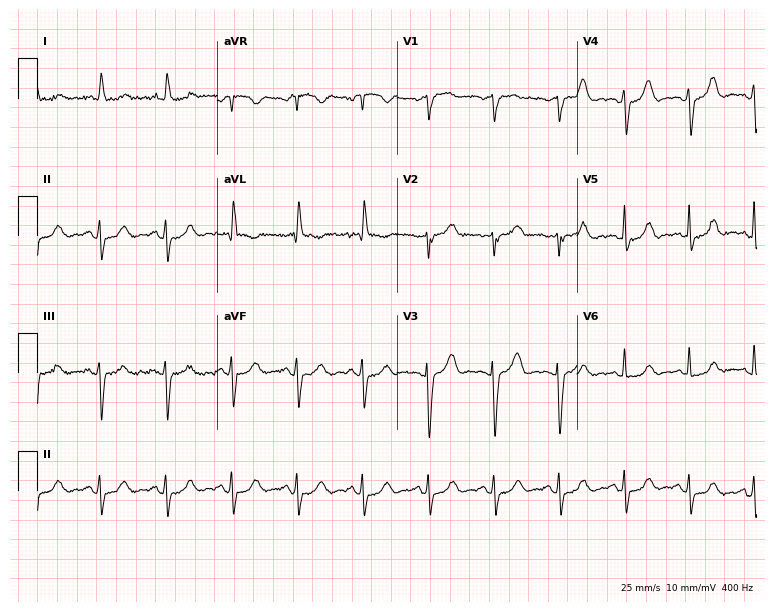
12-lead ECG from a female patient, 76 years old. No first-degree AV block, right bundle branch block (RBBB), left bundle branch block (LBBB), sinus bradycardia, atrial fibrillation (AF) or sinus tachycardia recorded for this tracing.